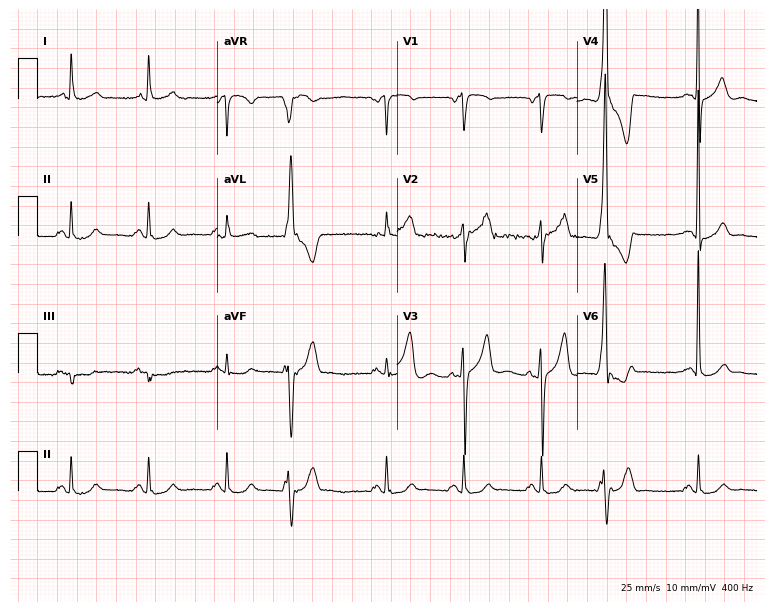
12-lead ECG (7.3-second recording at 400 Hz) from a 67-year-old male patient. Screened for six findings — first-degree AV block, right bundle branch block, left bundle branch block, sinus bradycardia, atrial fibrillation, sinus tachycardia — none is recorded. Only these six findings were labelled.